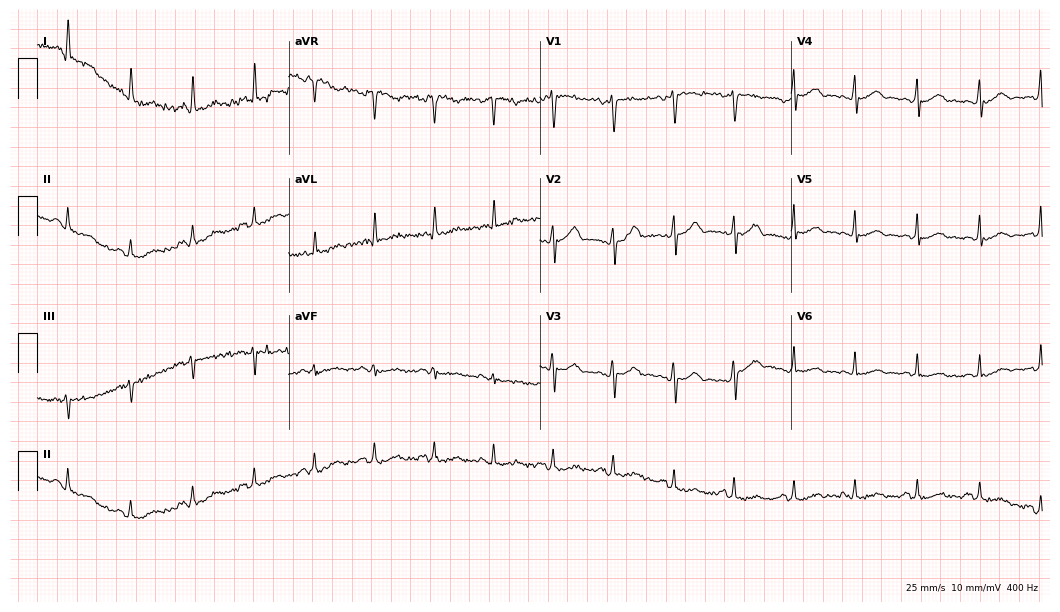
Electrocardiogram, a female, 41 years old. Overall reading on record: normal ECG.